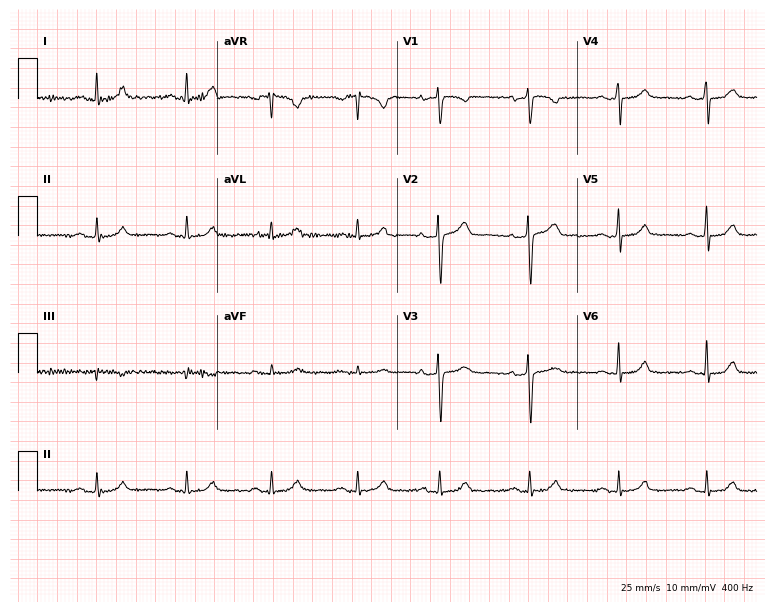
Standard 12-lead ECG recorded from a female, 45 years old. None of these six findings is recorded: first-degree AV block, right bundle branch block (RBBB), left bundle branch block (LBBB), sinus bradycardia, atrial fibrillation (AF), sinus tachycardia.